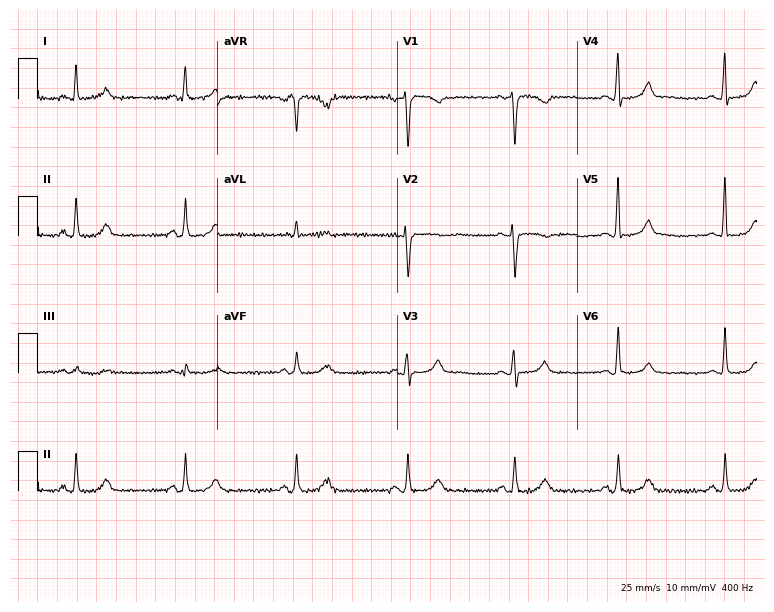
ECG — a 53-year-old female patient. Screened for six findings — first-degree AV block, right bundle branch block, left bundle branch block, sinus bradycardia, atrial fibrillation, sinus tachycardia — none is recorded.